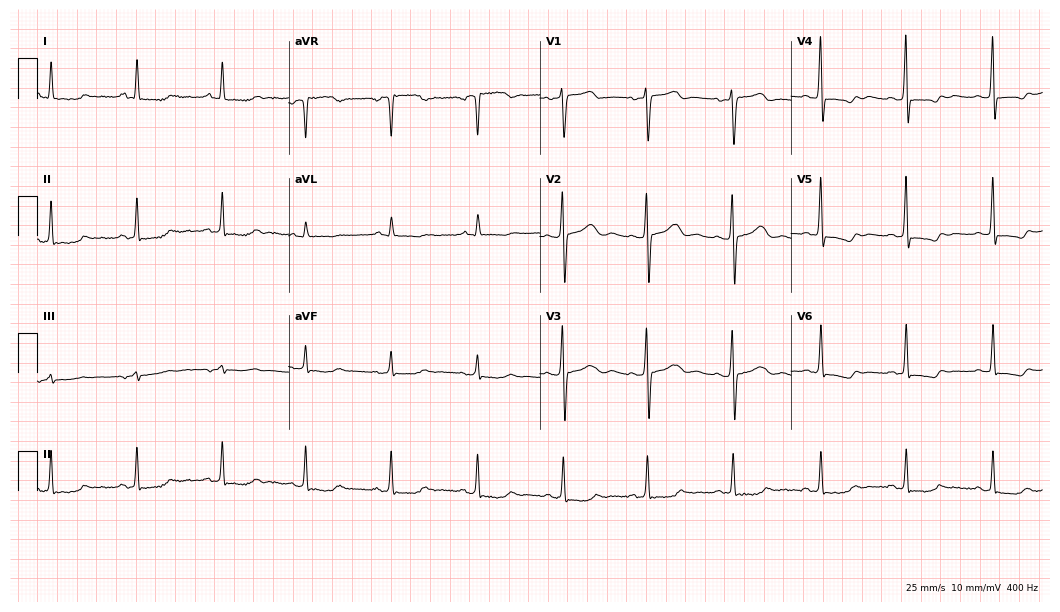
Resting 12-lead electrocardiogram (10.2-second recording at 400 Hz). Patient: a woman, 61 years old. None of these six findings is recorded: first-degree AV block, right bundle branch block (RBBB), left bundle branch block (LBBB), sinus bradycardia, atrial fibrillation (AF), sinus tachycardia. Other findings, if any, are not listed.